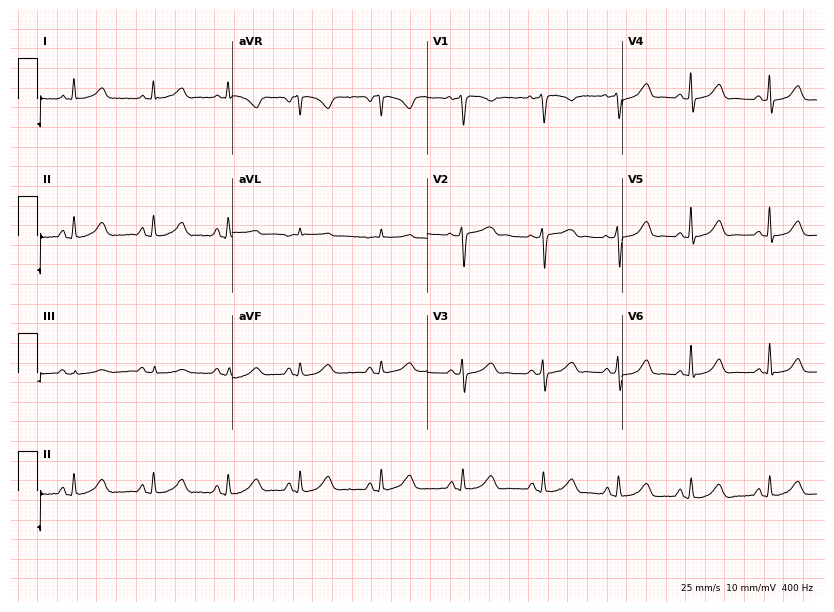
12-lead ECG (7.9-second recording at 400 Hz) from a 50-year-old woman. Labelled as a normal ECG.